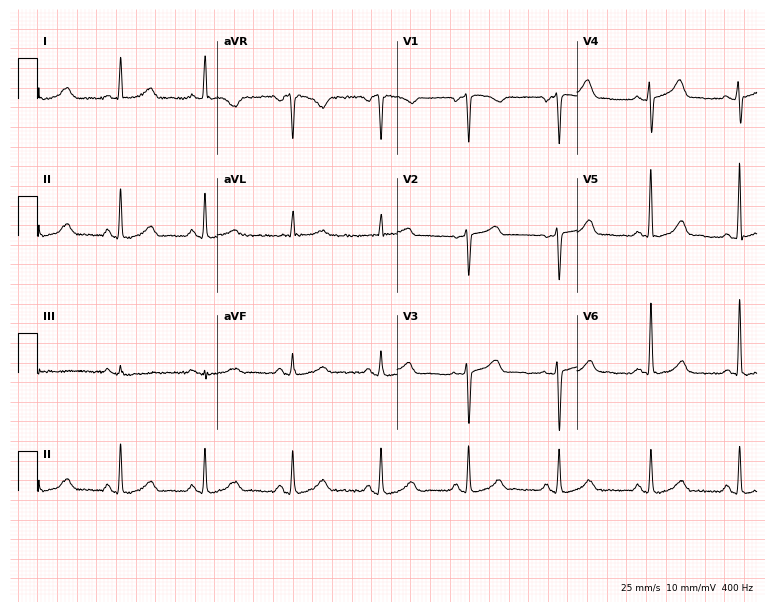
Electrocardiogram, a 63-year-old female patient. Overall reading on record: normal ECG.